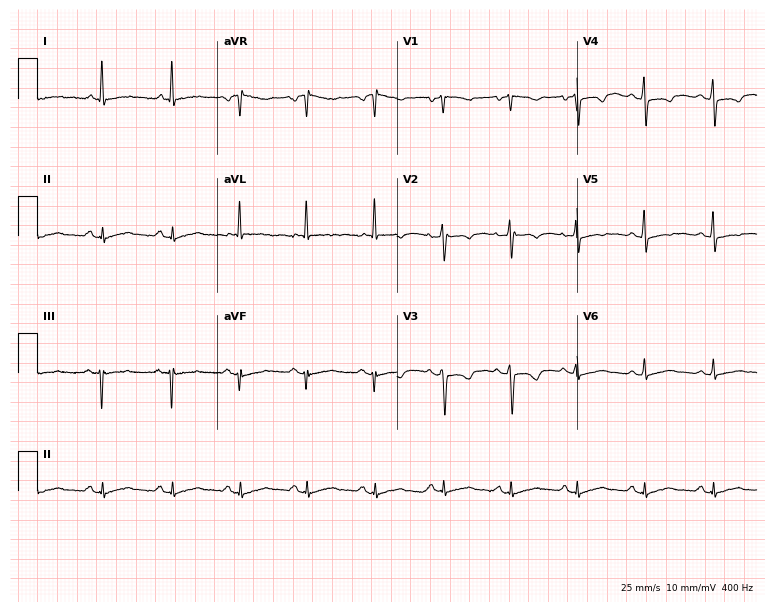
Standard 12-lead ECG recorded from a female, 68 years old. None of these six findings is recorded: first-degree AV block, right bundle branch block, left bundle branch block, sinus bradycardia, atrial fibrillation, sinus tachycardia. Findings outside these six are not listed.